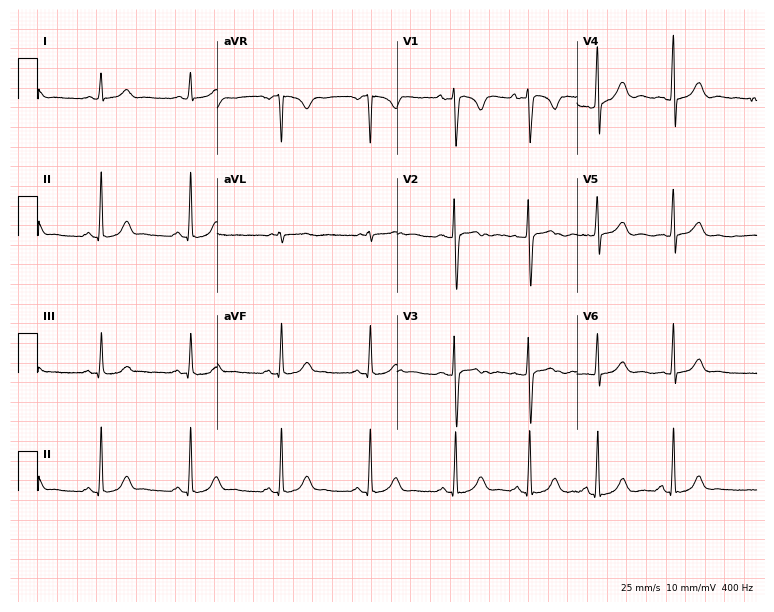
12-lead ECG from a 22-year-old woman. No first-degree AV block, right bundle branch block (RBBB), left bundle branch block (LBBB), sinus bradycardia, atrial fibrillation (AF) or sinus tachycardia recorded for this tracing. Other findings, if any, are not listed.